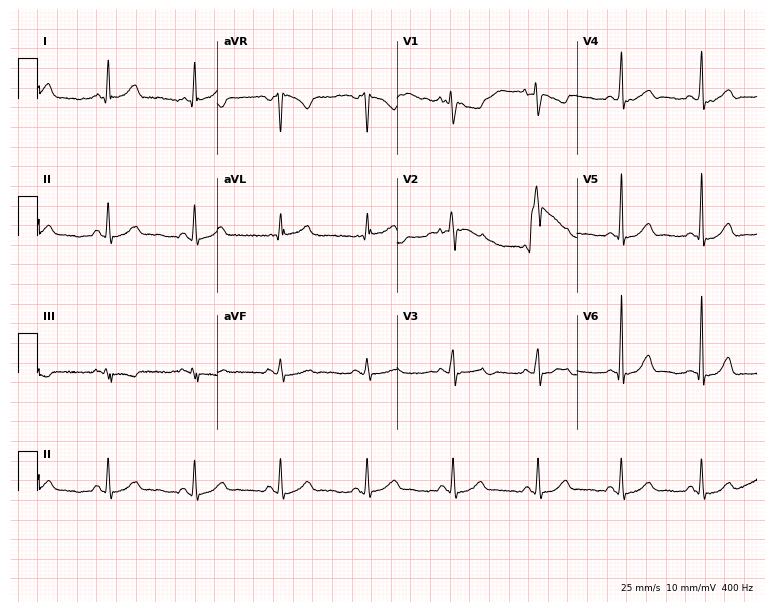
12-lead ECG from a female, 24 years old (7.3-second recording at 400 Hz). Recorded interpretation: within normal limits.